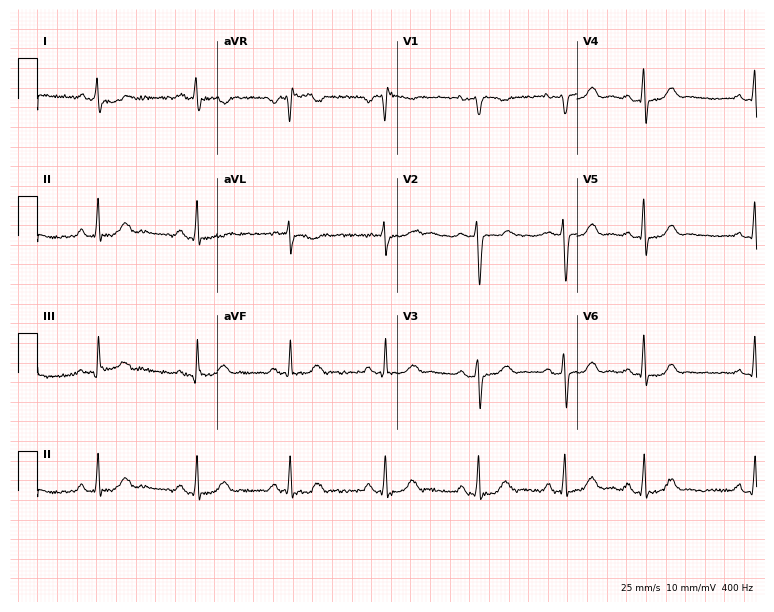
Resting 12-lead electrocardiogram (7.3-second recording at 400 Hz). Patient: a female, 34 years old. None of these six findings is recorded: first-degree AV block, right bundle branch block, left bundle branch block, sinus bradycardia, atrial fibrillation, sinus tachycardia.